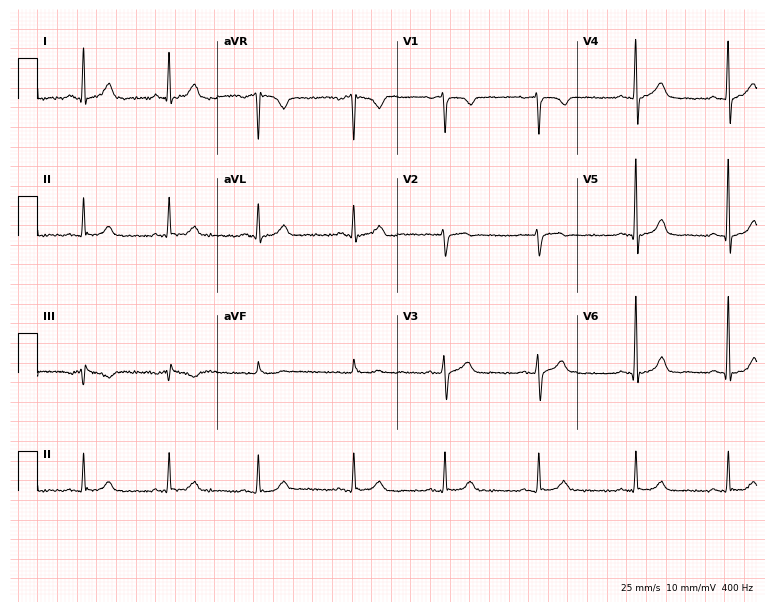
Standard 12-lead ECG recorded from a 49-year-old man (7.3-second recording at 400 Hz). Read as a normal ECG.